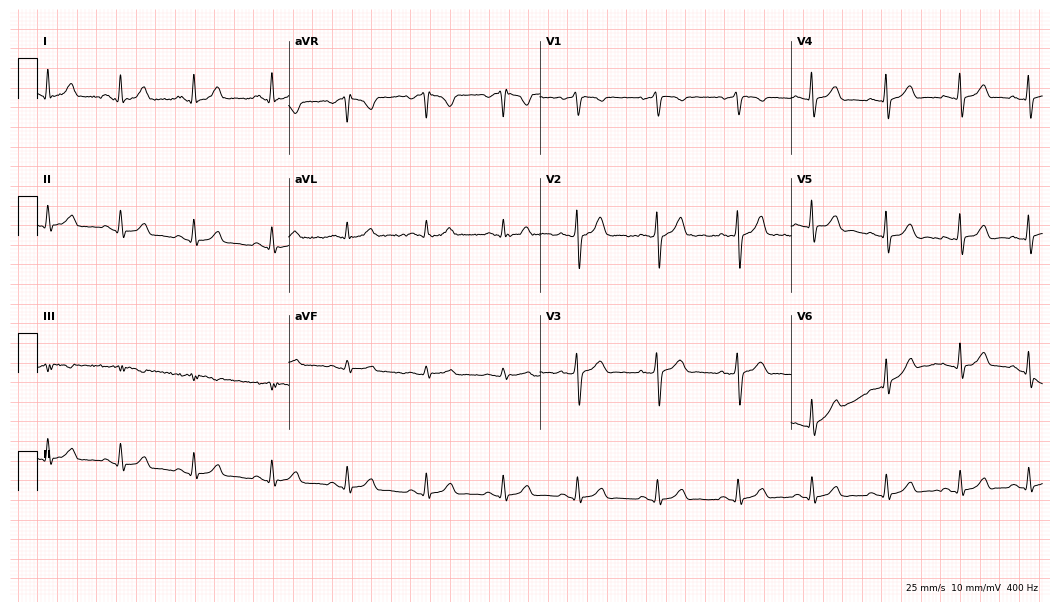
12-lead ECG from a male, 35 years old. Recorded interpretation: within normal limits.